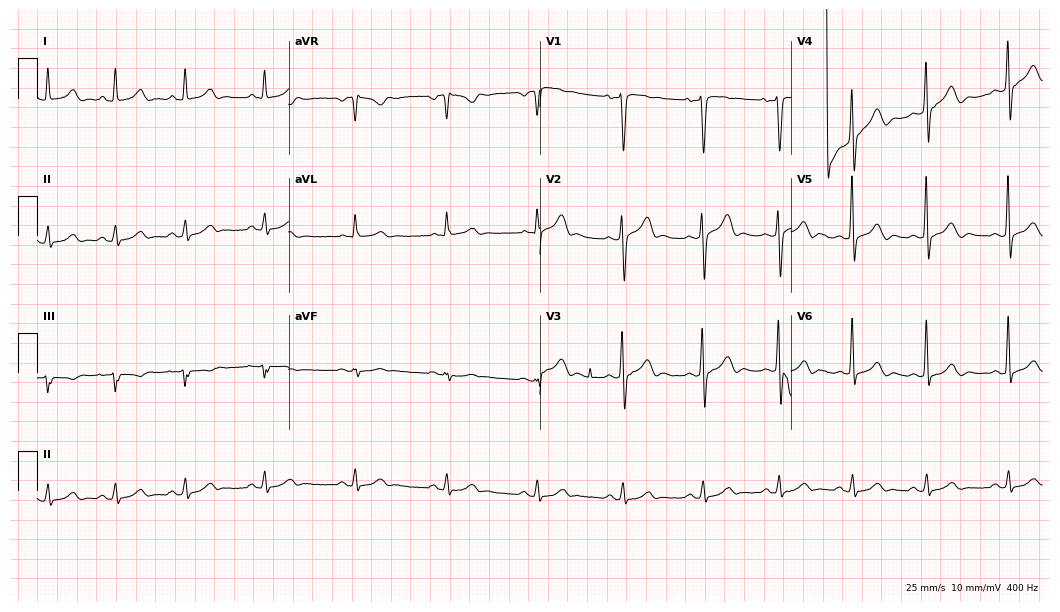
12-lead ECG from a male patient, 47 years old (10.2-second recording at 400 Hz). No first-degree AV block, right bundle branch block, left bundle branch block, sinus bradycardia, atrial fibrillation or sinus tachycardia recorded for this tracing.